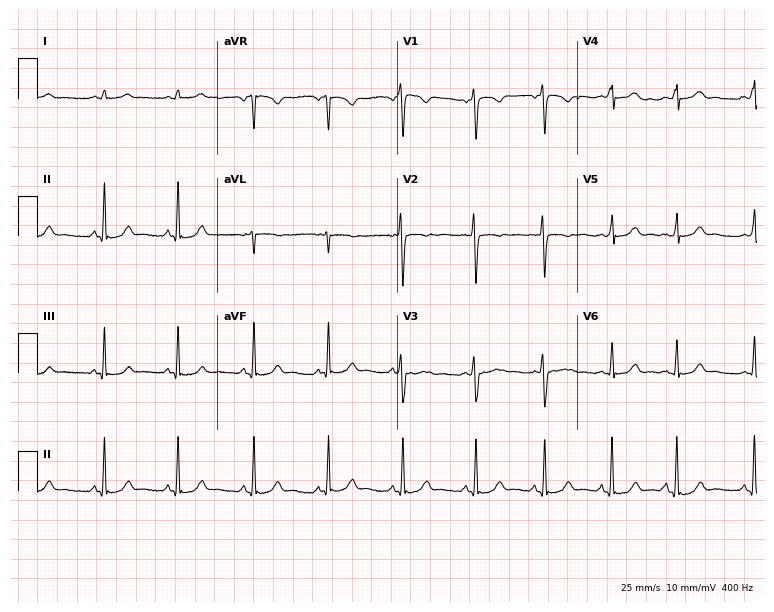
12-lead ECG (7.3-second recording at 400 Hz) from an 18-year-old woman. Labelled as a normal ECG.